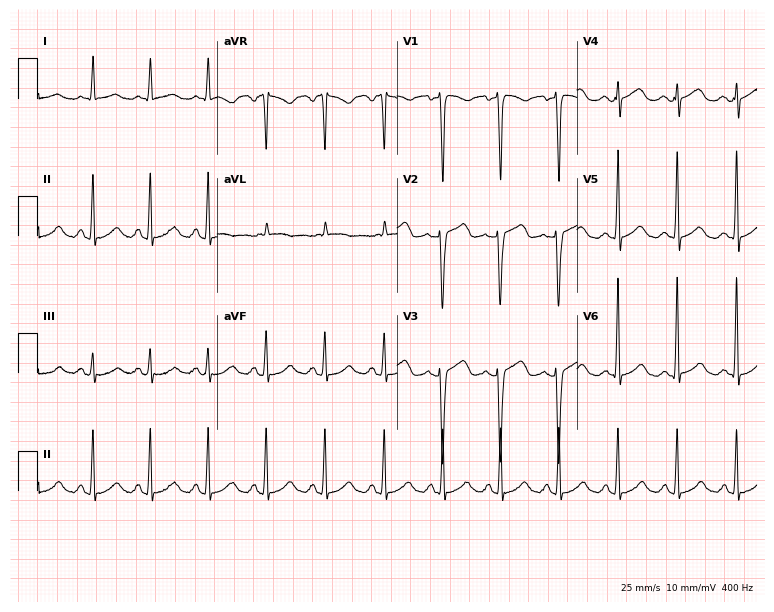
12-lead ECG from a female, 42 years old (7.3-second recording at 400 Hz). Shows sinus tachycardia (a sinus rate of 100 beats per minute or more).